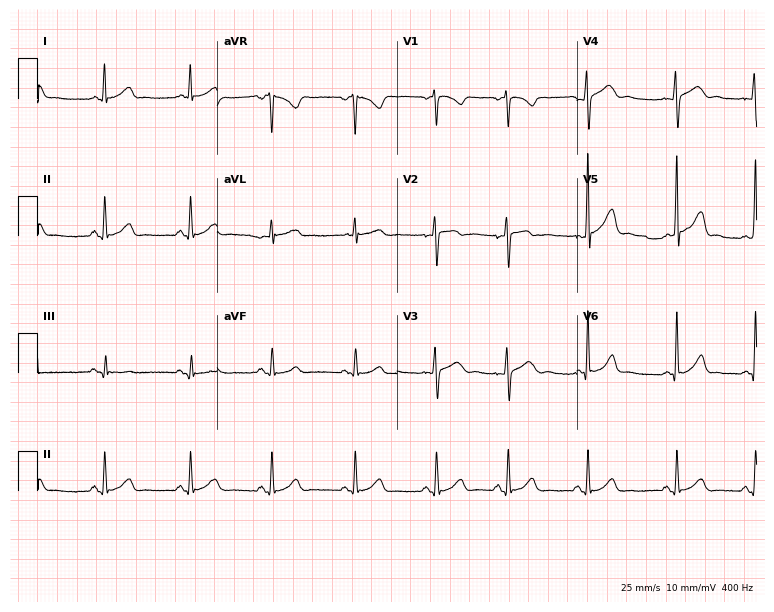
12-lead ECG from a female, 34 years old. Recorded interpretation: within normal limits.